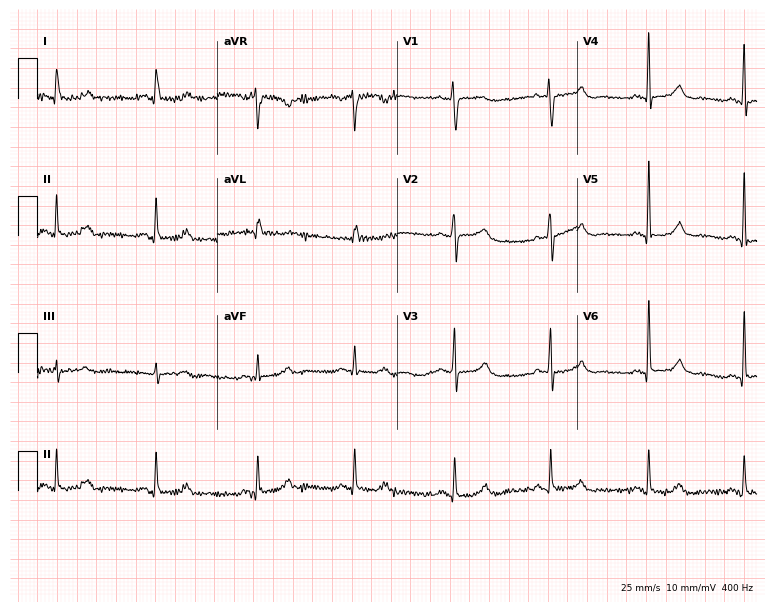
12-lead ECG from a woman, 61 years old (7.3-second recording at 400 Hz). No first-degree AV block, right bundle branch block (RBBB), left bundle branch block (LBBB), sinus bradycardia, atrial fibrillation (AF) or sinus tachycardia recorded for this tracing. Findings outside these six are not listed.